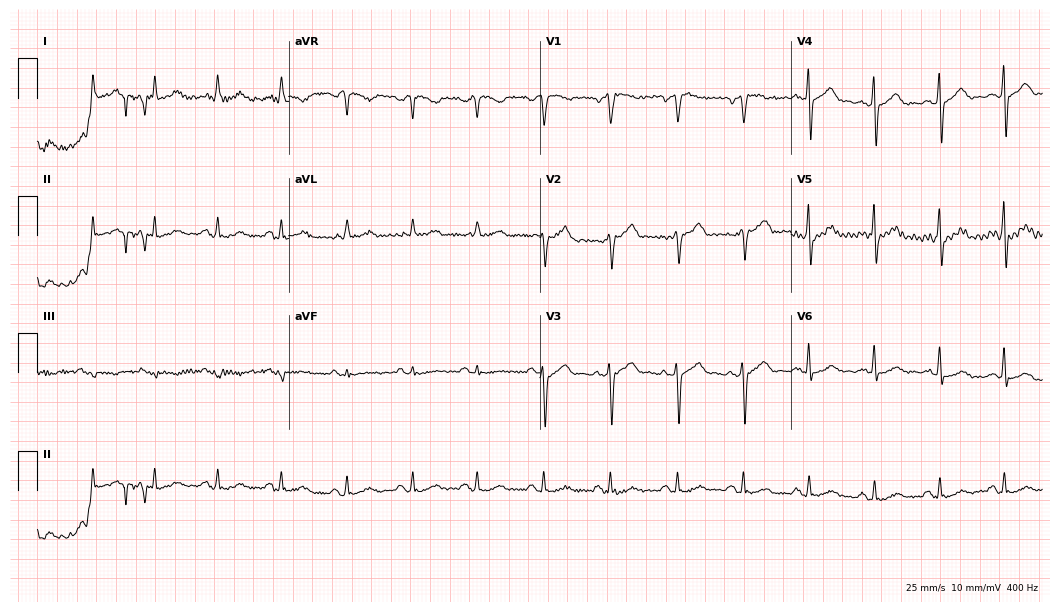
ECG — a 57-year-old male. Labelled as a normal ECG.